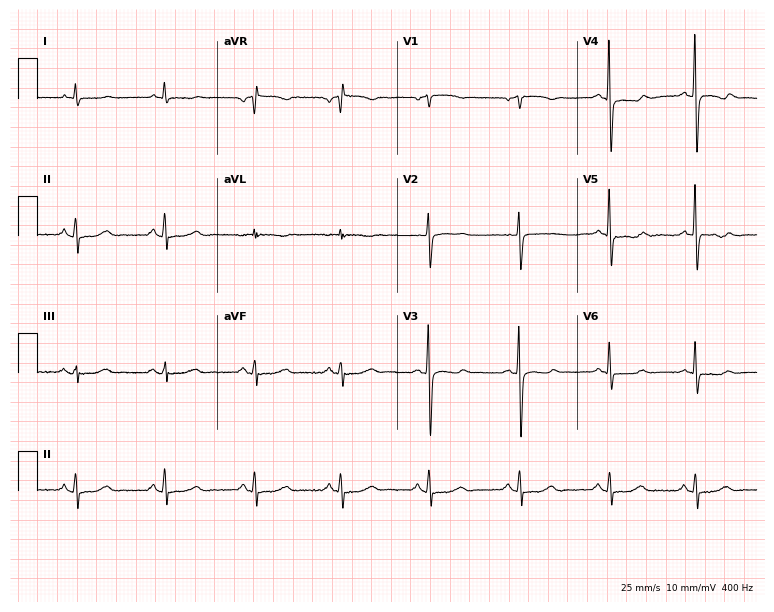
12-lead ECG from a 70-year-old female patient. Labelled as a normal ECG.